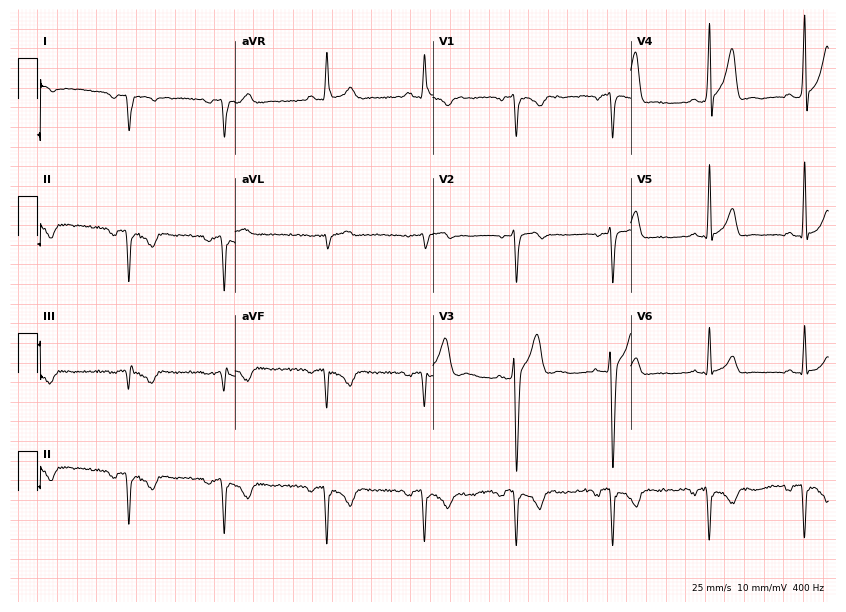
ECG — a 19-year-old man. Screened for six findings — first-degree AV block, right bundle branch block (RBBB), left bundle branch block (LBBB), sinus bradycardia, atrial fibrillation (AF), sinus tachycardia — none is recorded.